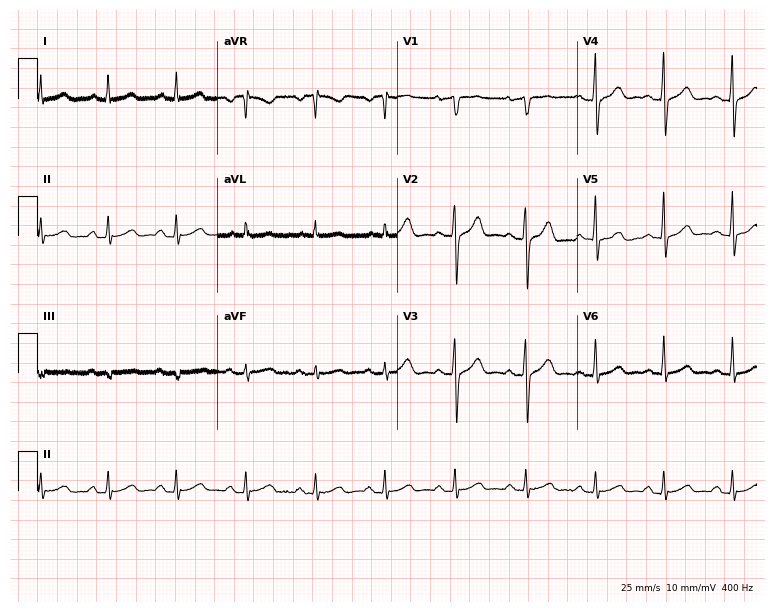
12-lead ECG from a male patient, 53 years old. Recorded interpretation: within normal limits.